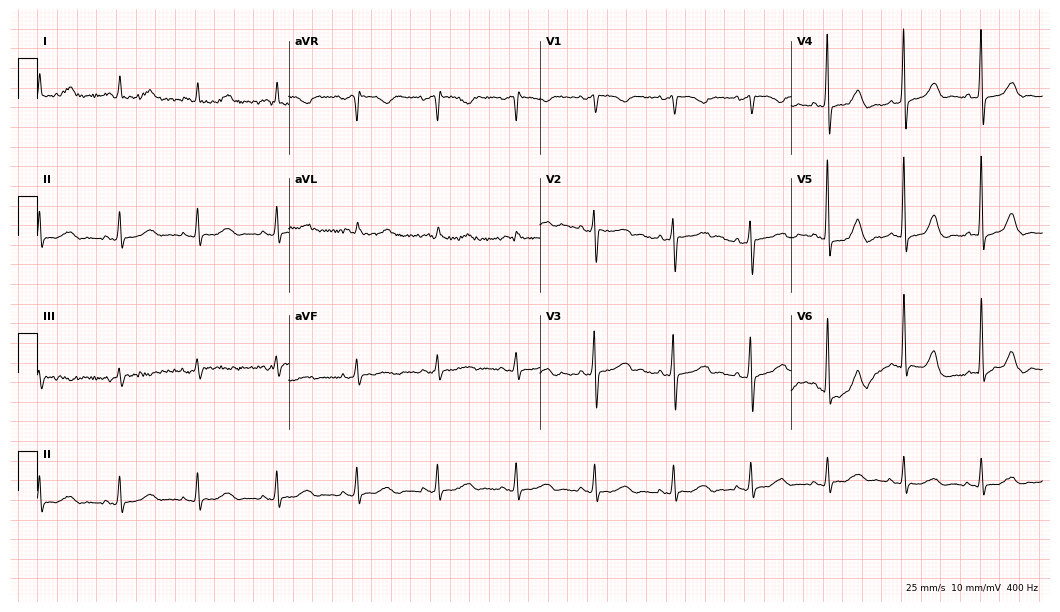
ECG — a woman, 52 years old. Labelled as a normal ECG.